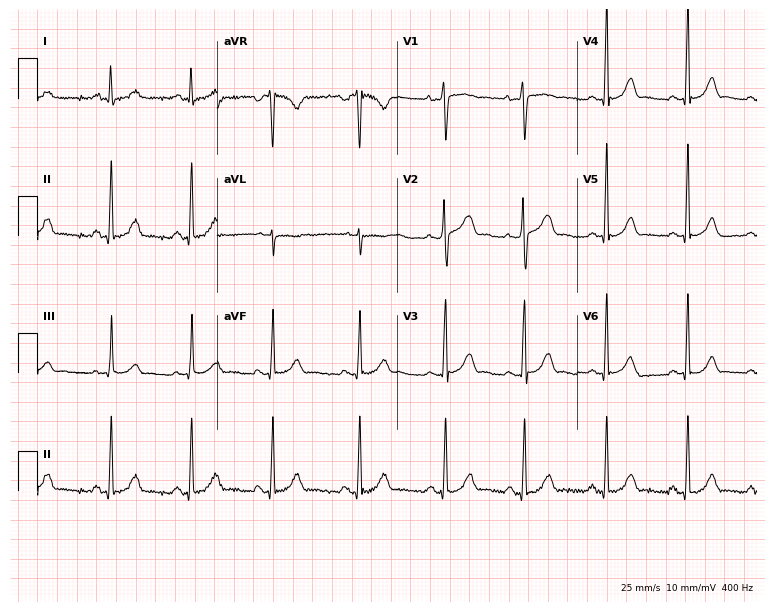
ECG — a 26-year-old woman. Labelled as a normal ECG.